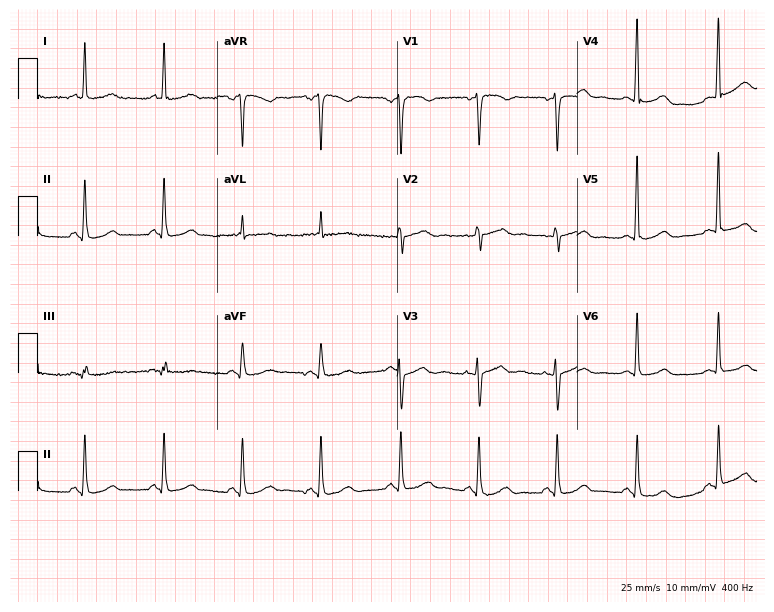
12-lead ECG (7.3-second recording at 400 Hz) from a 48-year-old woman. Screened for six findings — first-degree AV block, right bundle branch block (RBBB), left bundle branch block (LBBB), sinus bradycardia, atrial fibrillation (AF), sinus tachycardia — none is recorded.